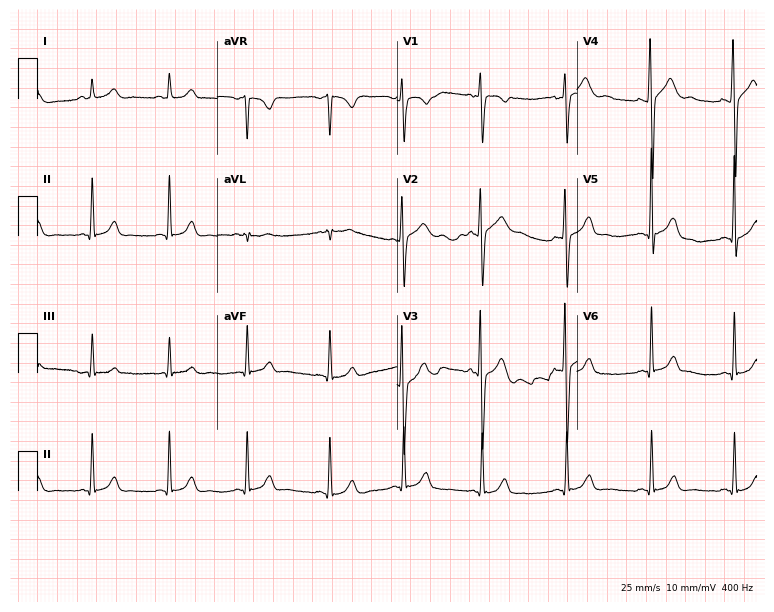
Standard 12-lead ECG recorded from a 21-year-old man. None of these six findings is recorded: first-degree AV block, right bundle branch block, left bundle branch block, sinus bradycardia, atrial fibrillation, sinus tachycardia.